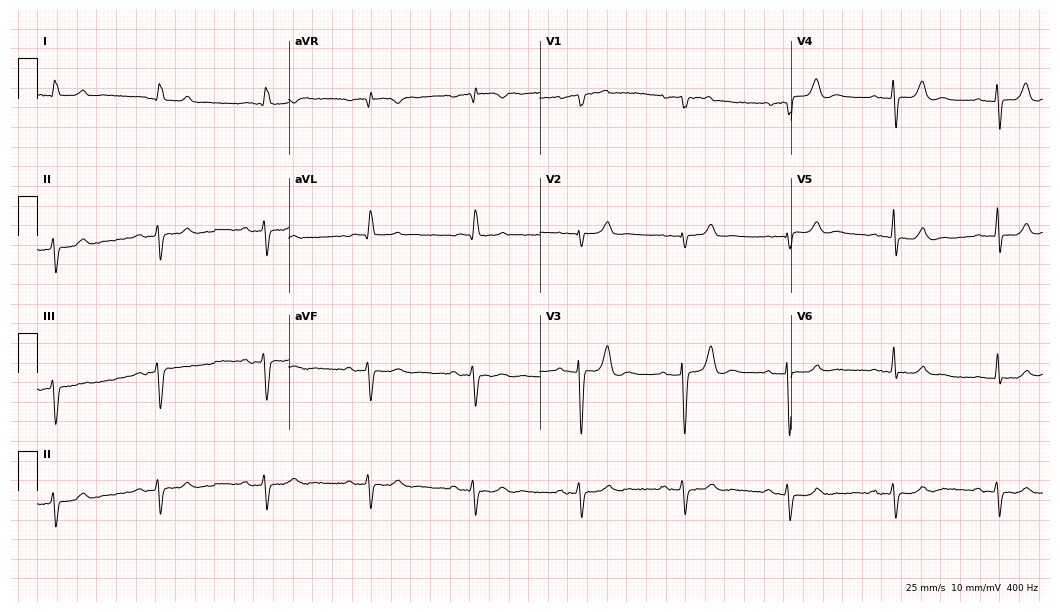
12-lead ECG from an 85-year-old man. No first-degree AV block, right bundle branch block, left bundle branch block, sinus bradycardia, atrial fibrillation or sinus tachycardia recorded for this tracing. Only these six findings were labelled.